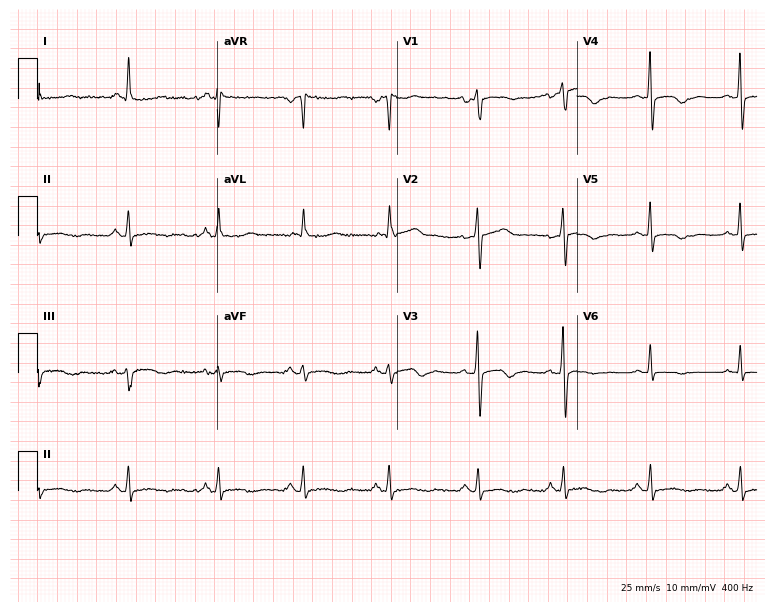
12-lead ECG from a woman, 55 years old (7.3-second recording at 400 Hz). No first-degree AV block, right bundle branch block (RBBB), left bundle branch block (LBBB), sinus bradycardia, atrial fibrillation (AF) or sinus tachycardia recorded for this tracing. Other findings, if any, are not listed.